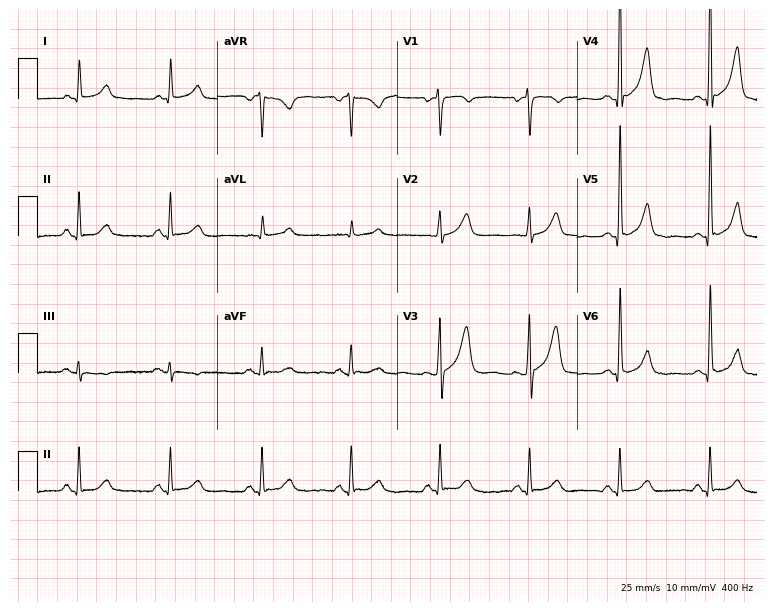
12-lead ECG (7.3-second recording at 400 Hz) from a 76-year-old male. Labelled as a normal ECG.